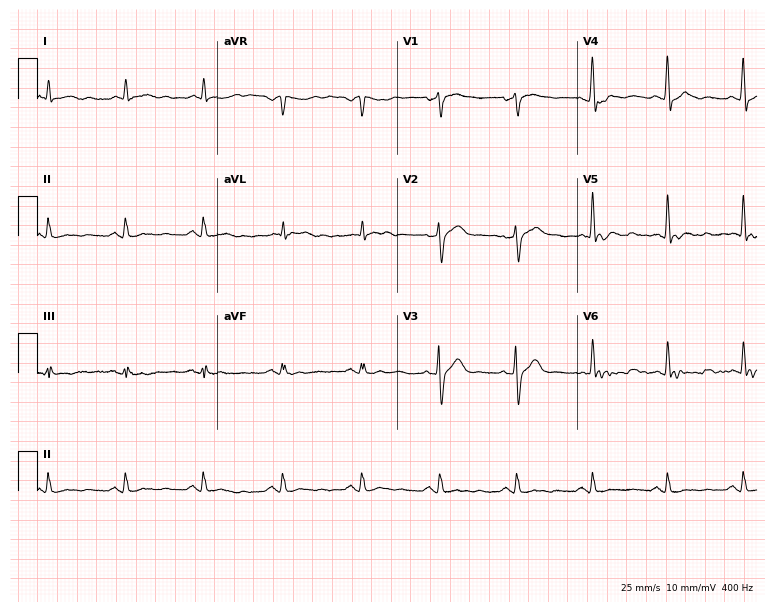
Resting 12-lead electrocardiogram (7.3-second recording at 400 Hz). Patient: a 68-year-old male. None of these six findings is recorded: first-degree AV block, right bundle branch block, left bundle branch block, sinus bradycardia, atrial fibrillation, sinus tachycardia.